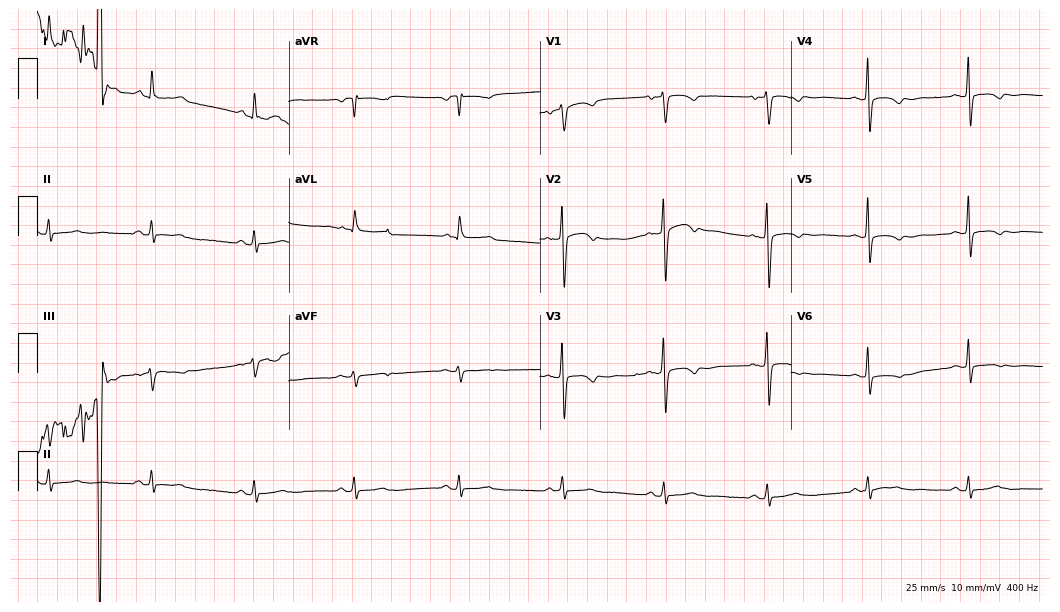
ECG (10.2-second recording at 400 Hz) — a woman, 73 years old. Screened for six findings — first-degree AV block, right bundle branch block (RBBB), left bundle branch block (LBBB), sinus bradycardia, atrial fibrillation (AF), sinus tachycardia — none is recorded.